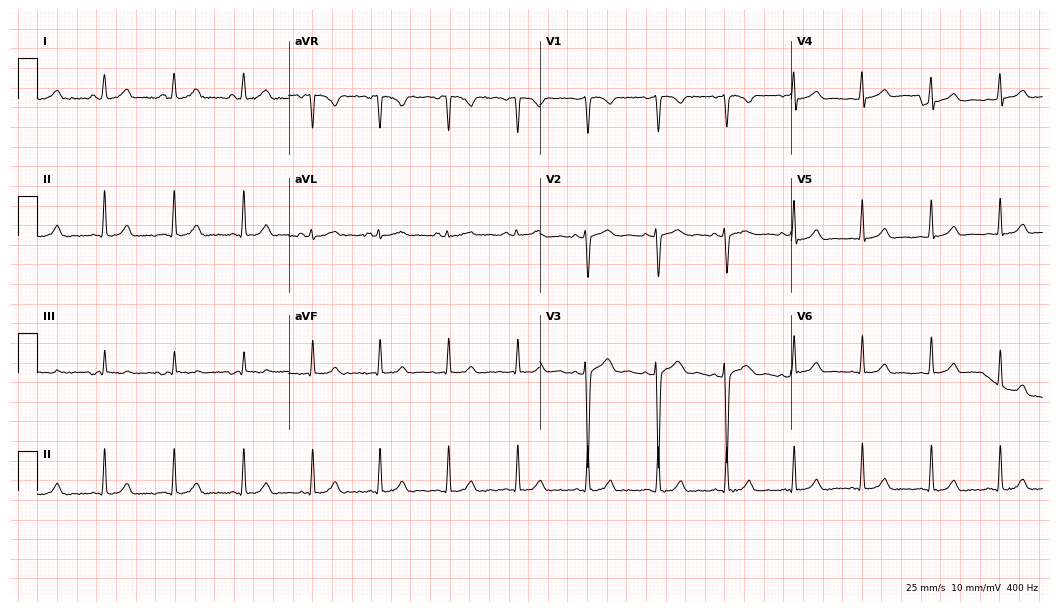
12-lead ECG from an 18-year-old female. Labelled as a normal ECG.